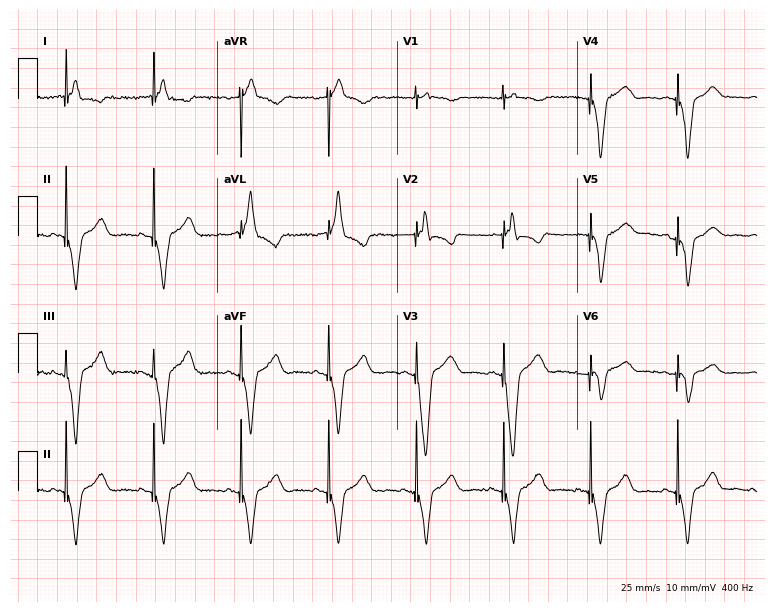
12-lead ECG from a female patient, 83 years old. No first-degree AV block, right bundle branch block, left bundle branch block, sinus bradycardia, atrial fibrillation or sinus tachycardia recorded for this tracing. Other findings, if any, are not listed.